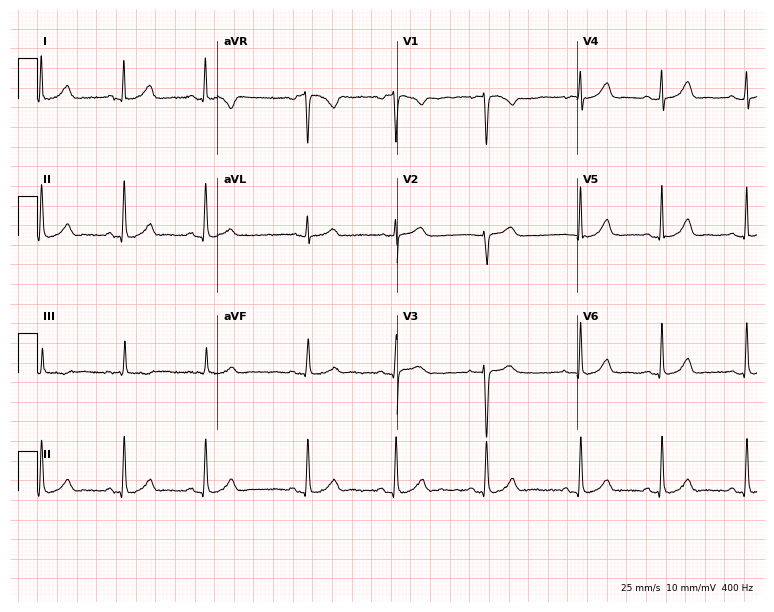
Electrocardiogram (7.3-second recording at 400 Hz), a woman, 28 years old. Overall reading on record: normal ECG.